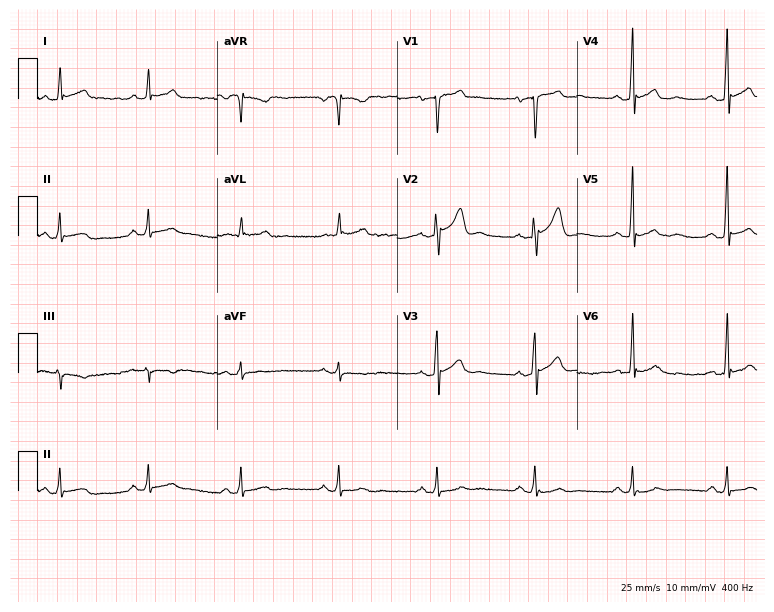
12-lead ECG from a male patient, 51 years old (7.3-second recording at 400 Hz). Recorded interpretation: within normal limits.